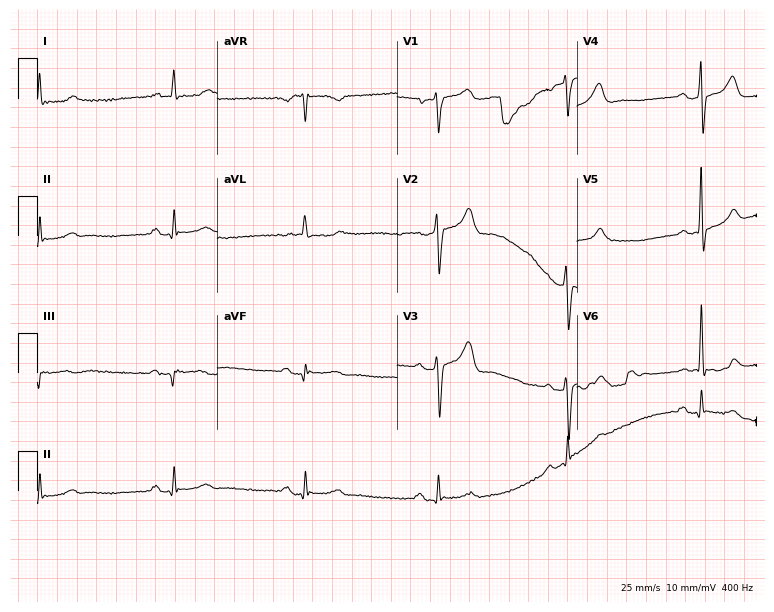
12-lead ECG from a man, 78 years old. Shows sinus bradycardia (a sinus rate of 50 beats per minute or less).